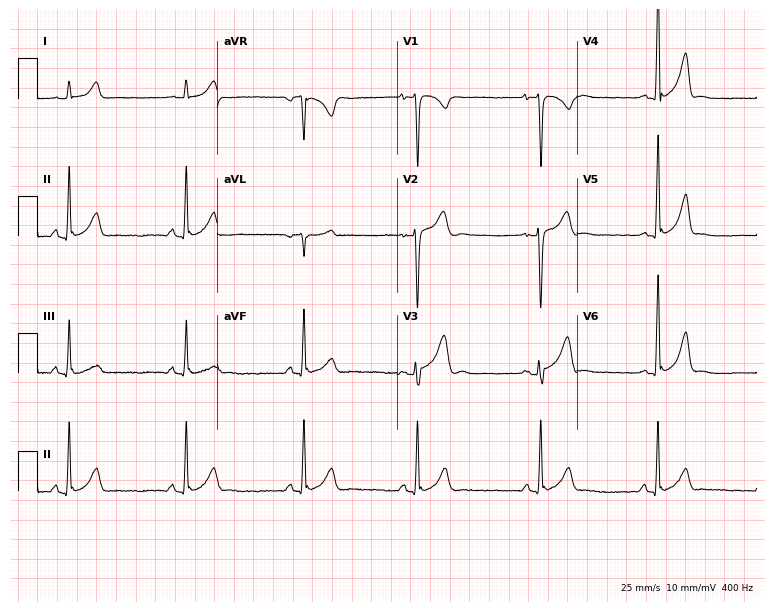
ECG (7.3-second recording at 400 Hz) — a male patient, 23 years old. Screened for six findings — first-degree AV block, right bundle branch block (RBBB), left bundle branch block (LBBB), sinus bradycardia, atrial fibrillation (AF), sinus tachycardia — none is recorded. Other findings, if any, are not listed.